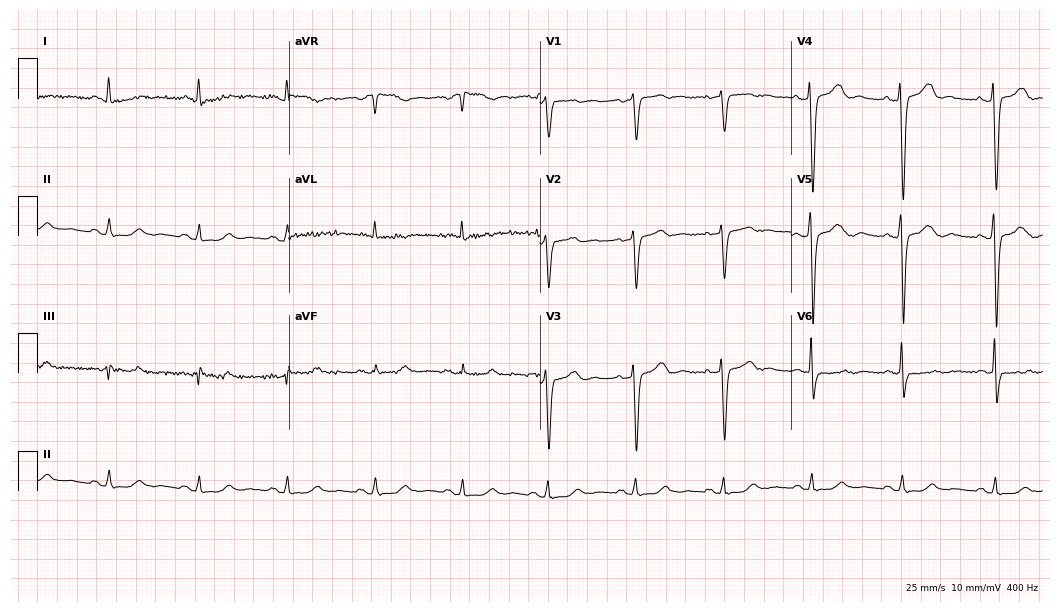
12-lead ECG from a 49-year-old female (10.2-second recording at 400 Hz). No first-degree AV block, right bundle branch block, left bundle branch block, sinus bradycardia, atrial fibrillation or sinus tachycardia recorded for this tracing. Findings outside these six are not listed.